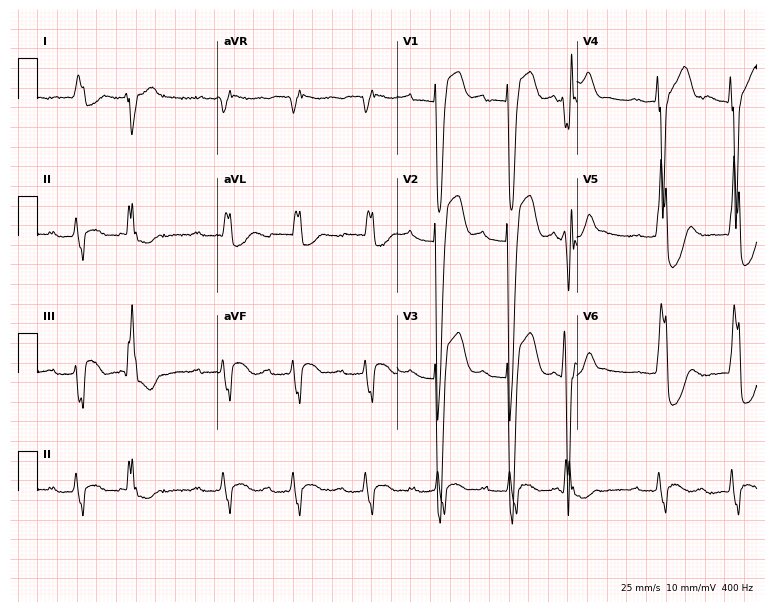
Resting 12-lead electrocardiogram. Patient: a 77-year-old woman. The tracing shows first-degree AV block, left bundle branch block.